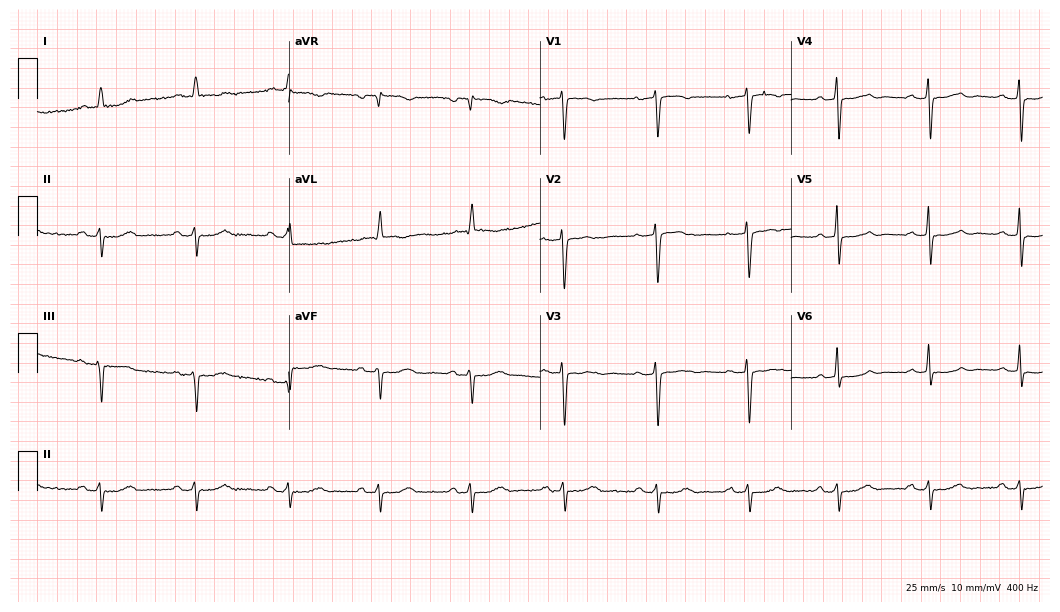
Standard 12-lead ECG recorded from an 81-year-old woman. None of these six findings is recorded: first-degree AV block, right bundle branch block, left bundle branch block, sinus bradycardia, atrial fibrillation, sinus tachycardia. Only these six findings were labelled.